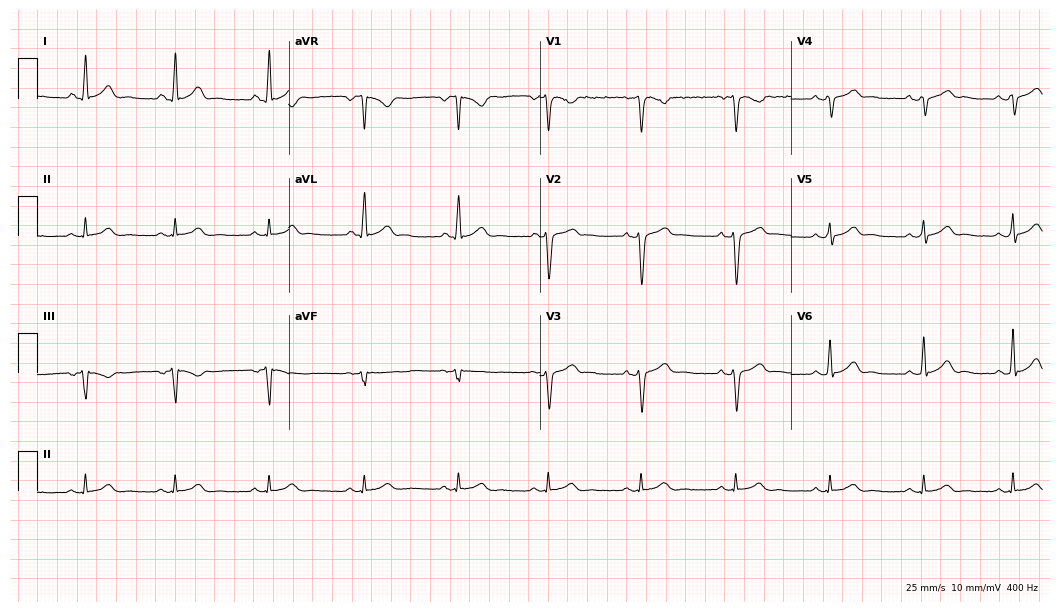
Resting 12-lead electrocardiogram (10.2-second recording at 400 Hz). Patient: a man, 32 years old. Read as a normal ECG.